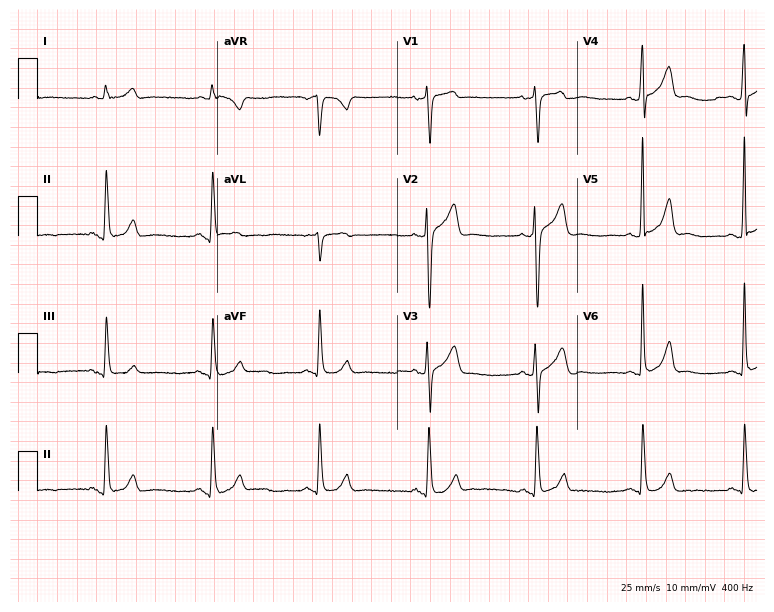
Electrocardiogram, a 73-year-old man. Overall reading on record: normal ECG.